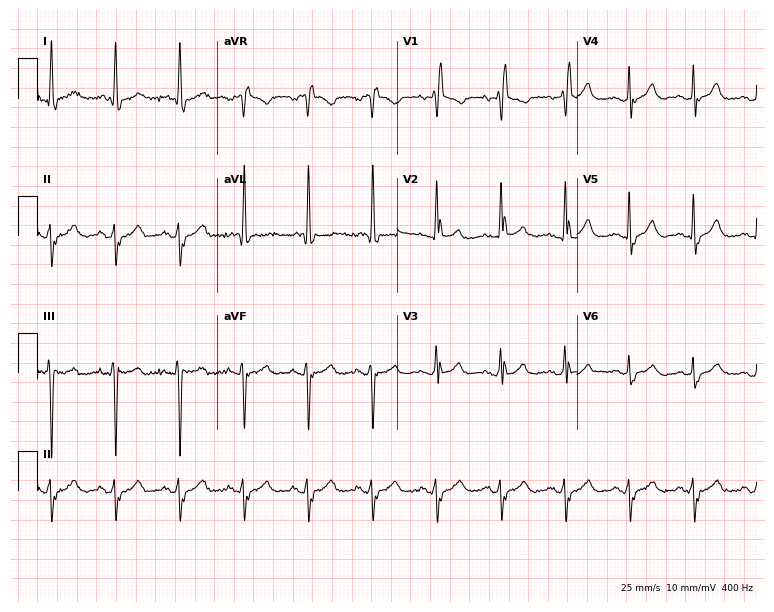
12-lead ECG from a female, 77 years old. No first-degree AV block, right bundle branch block (RBBB), left bundle branch block (LBBB), sinus bradycardia, atrial fibrillation (AF) or sinus tachycardia recorded for this tracing.